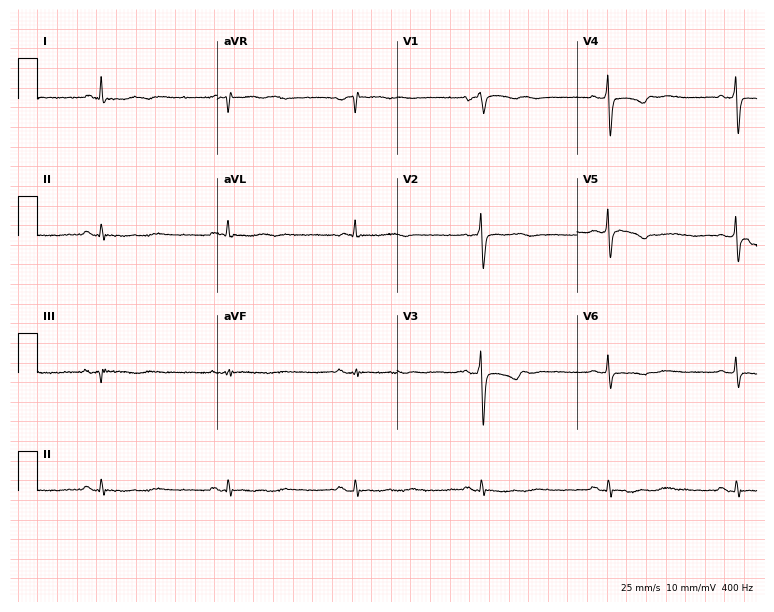
Resting 12-lead electrocardiogram (7.3-second recording at 400 Hz). Patient: a 78-year-old female. The tracing shows sinus bradycardia (a sinus rate of 50 beats per minute or less).